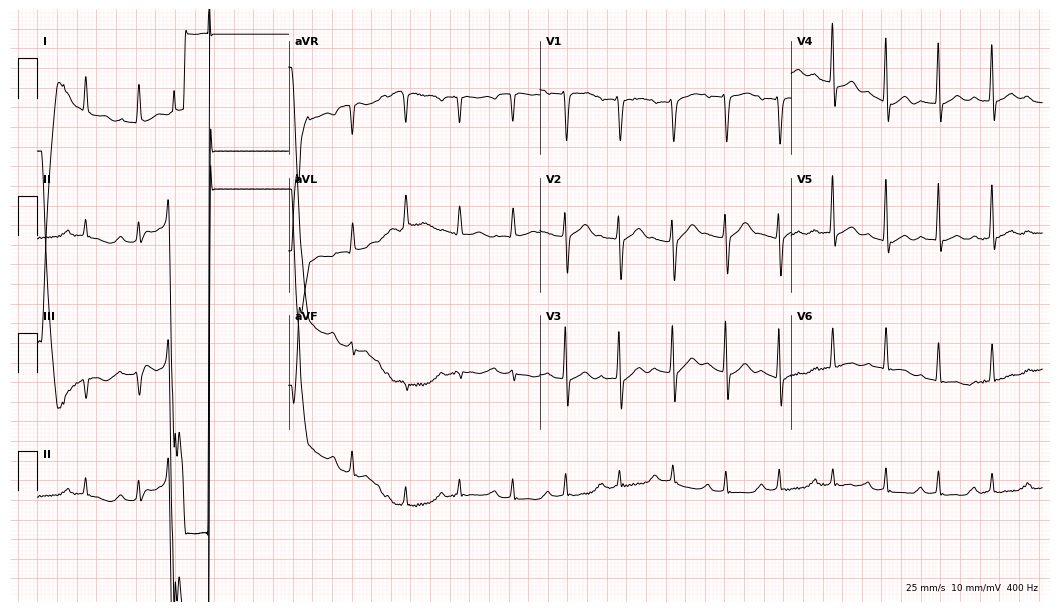
ECG — a male, 75 years old. Findings include sinus tachycardia (a sinus rate of 100 beats per minute or more).